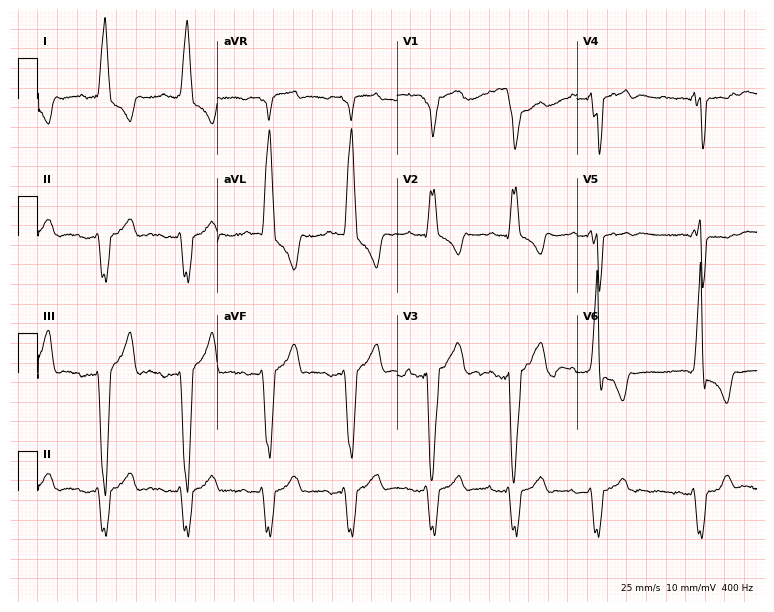
Resting 12-lead electrocardiogram. Patient: a male, 81 years old. None of these six findings is recorded: first-degree AV block, right bundle branch block, left bundle branch block, sinus bradycardia, atrial fibrillation, sinus tachycardia.